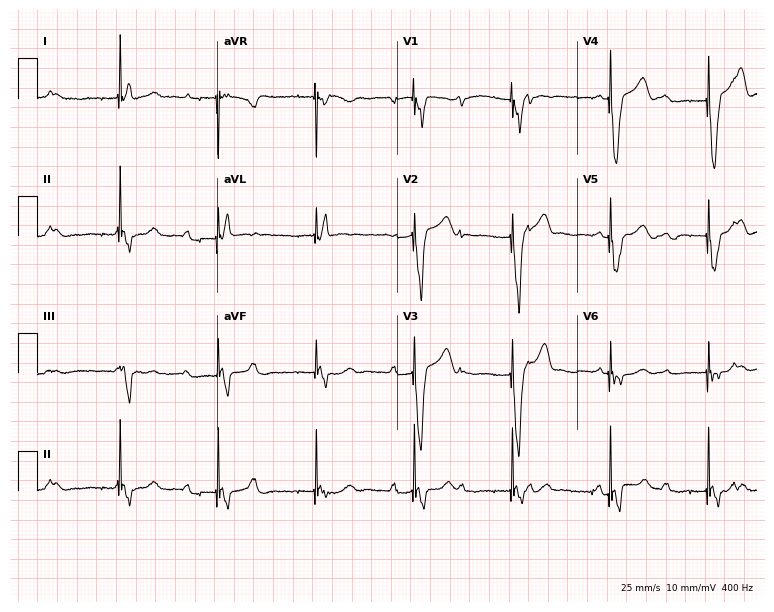
Resting 12-lead electrocardiogram (7.3-second recording at 400 Hz). Patient: an 83-year-old female. None of these six findings is recorded: first-degree AV block, right bundle branch block, left bundle branch block, sinus bradycardia, atrial fibrillation, sinus tachycardia. Findings outside these six are not listed.